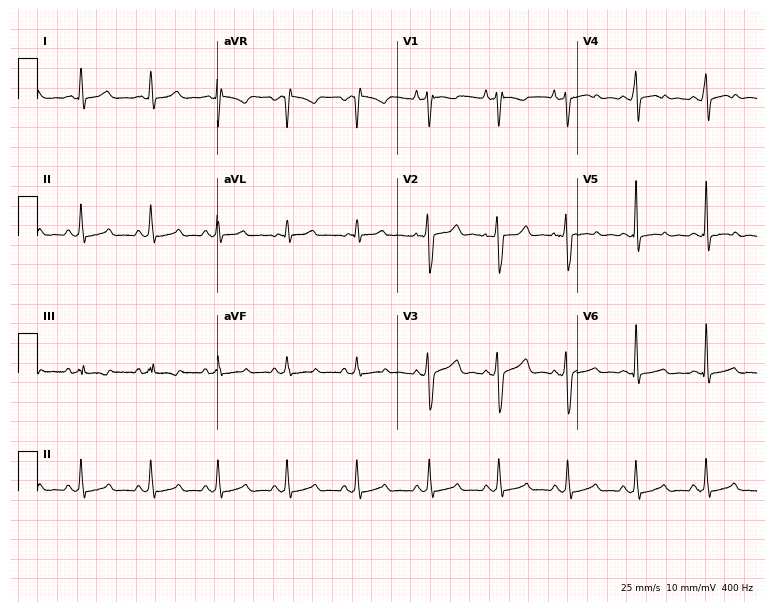
Electrocardiogram (7.3-second recording at 400 Hz), a 35-year-old female. Of the six screened findings (first-degree AV block, right bundle branch block (RBBB), left bundle branch block (LBBB), sinus bradycardia, atrial fibrillation (AF), sinus tachycardia), none is recorded. Only these six findings were labelled.